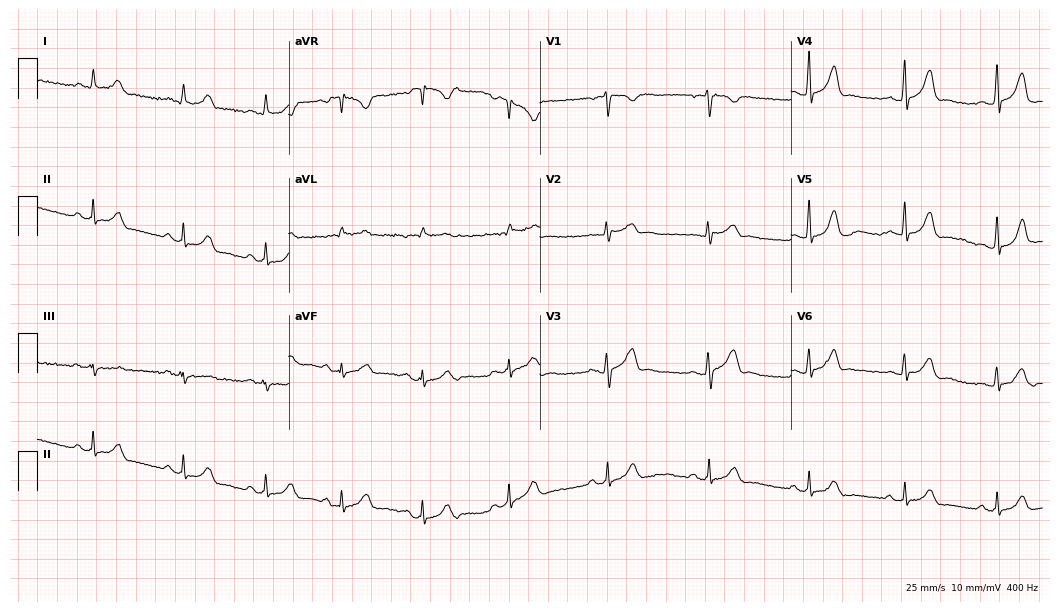
Electrocardiogram (10.2-second recording at 400 Hz), a 36-year-old man. Of the six screened findings (first-degree AV block, right bundle branch block, left bundle branch block, sinus bradycardia, atrial fibrillation, sinus tachycardia), none is recorded. Only these six findings were labelled.